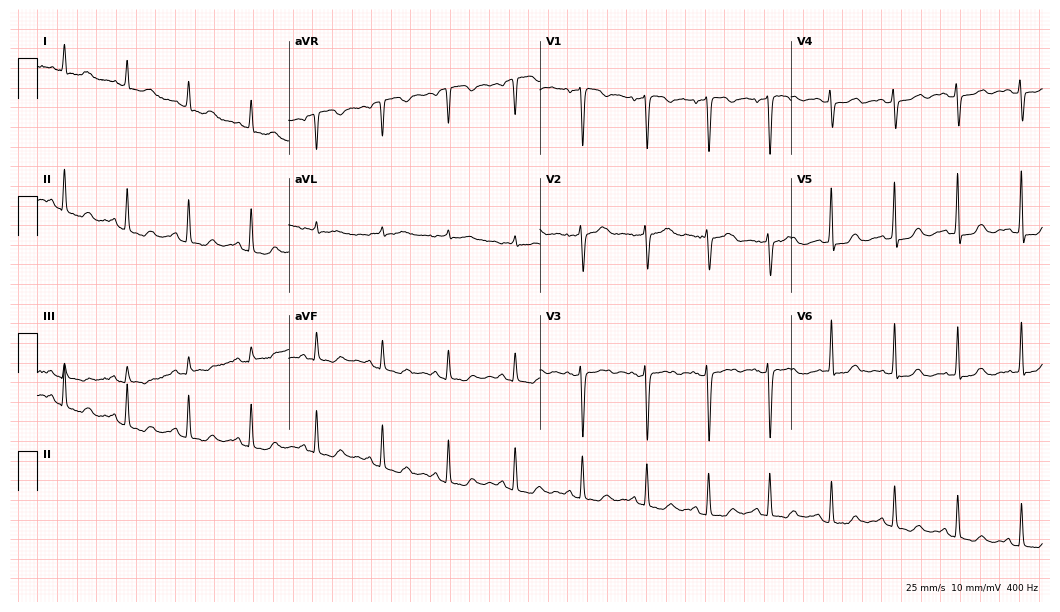
Standard 12-lead ECG recorded from a 66-year-old woman. None of these six findings is recorded: first-degree AV block, right bundle branch block (RBBB), left bundle branch block (LBBB), sinus bradycardia, atrial fibrillation (AF), sinus tachycardia.